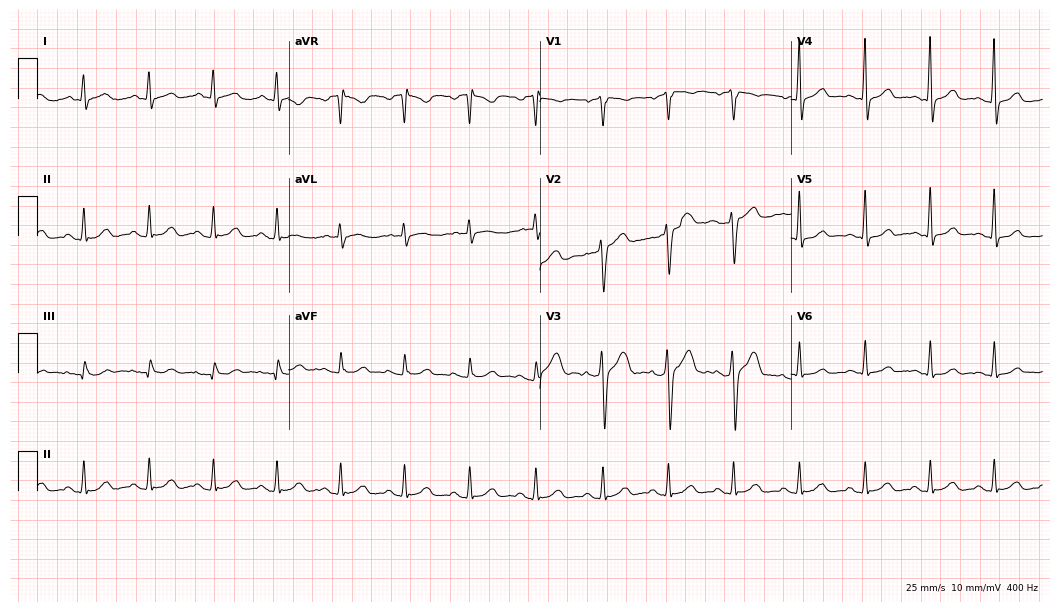
Electrocardiogram, a male, 36 years old. Overall reading on record: normal ECG.